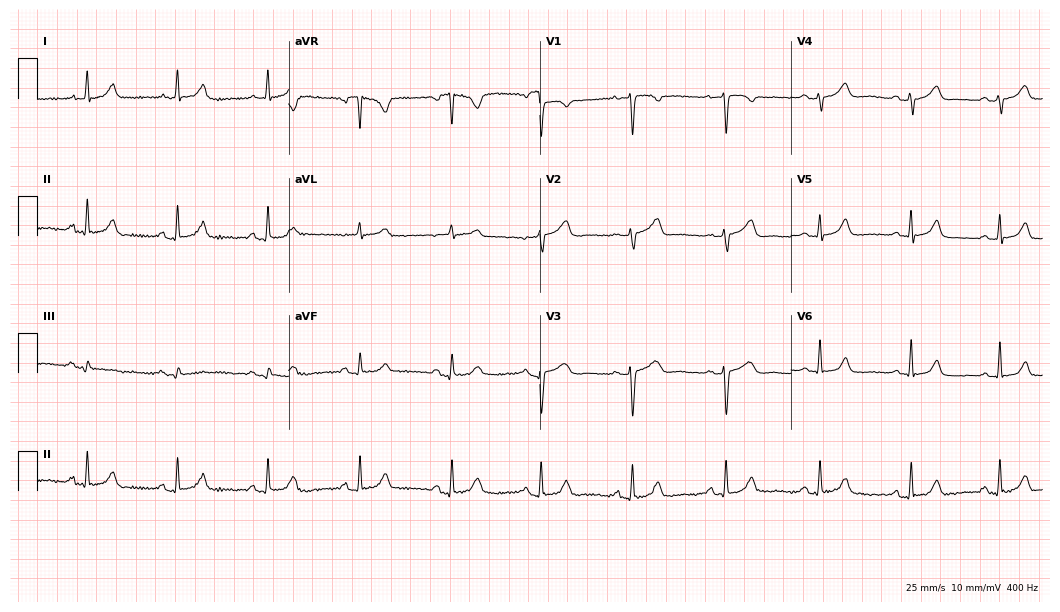
Electrocardiogram (10.2-second recording at 400 Hz), a female patient, 46 years old. Overall reading on record: normal ECG.